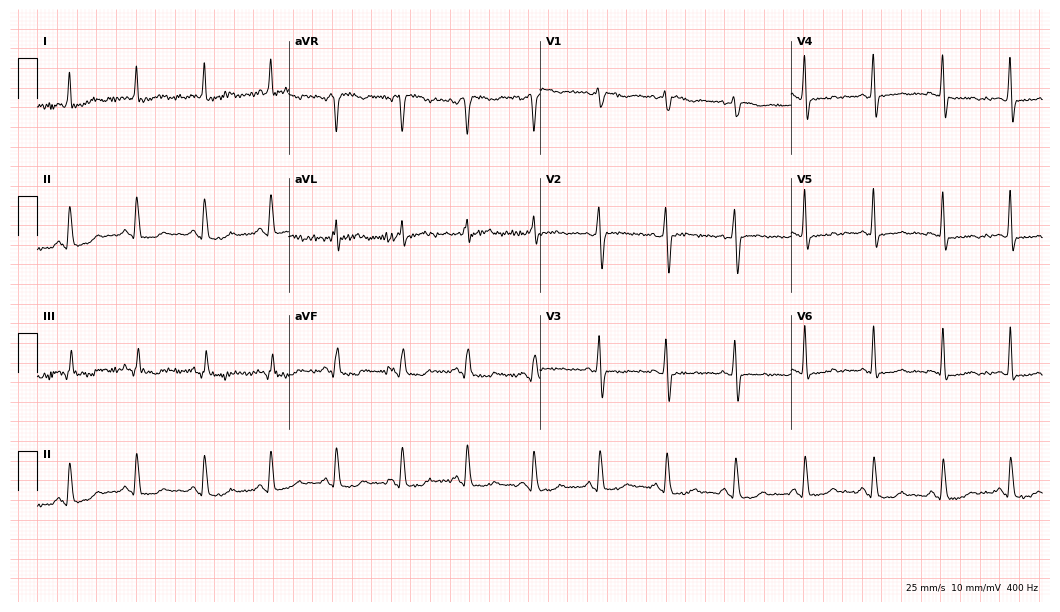
12-lead ECG from a 49-year-old female. No first-degree AV block, right bundle branch block, left bundle branch block, sinus bradycardia, atrial fibrillation or sinus tachycardia recorded for this tracing. Other findings, if any, are not listed.